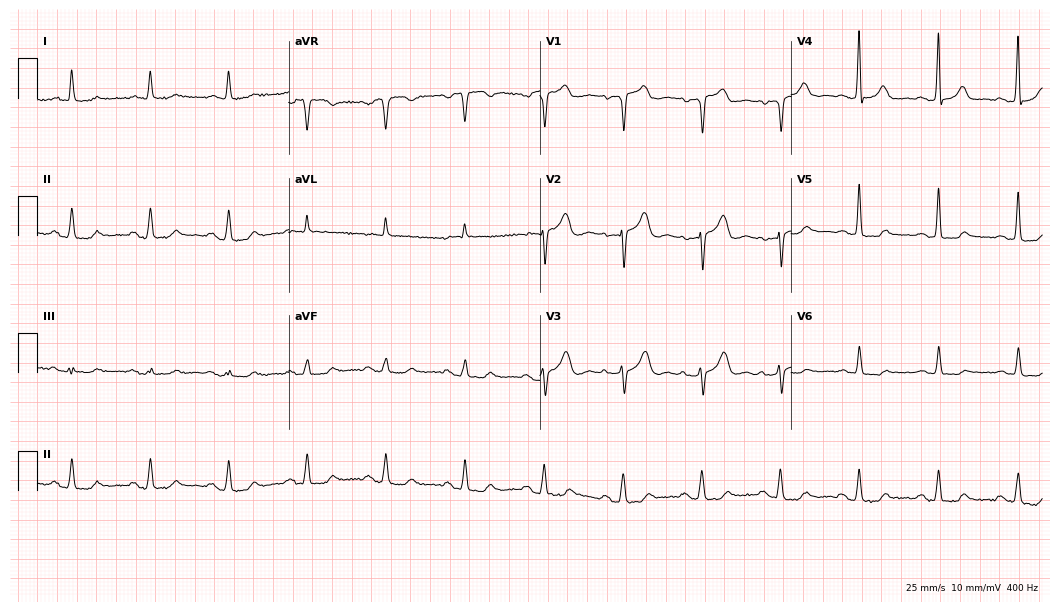
Standard 12-lead ECG recorded from a man, 77 years old. None of these six findings is recorded: first-degree AV block, right bundle branch block, left bundle branch block, sinus bradycardia, atrial fibrillation, sinus tachycardia.